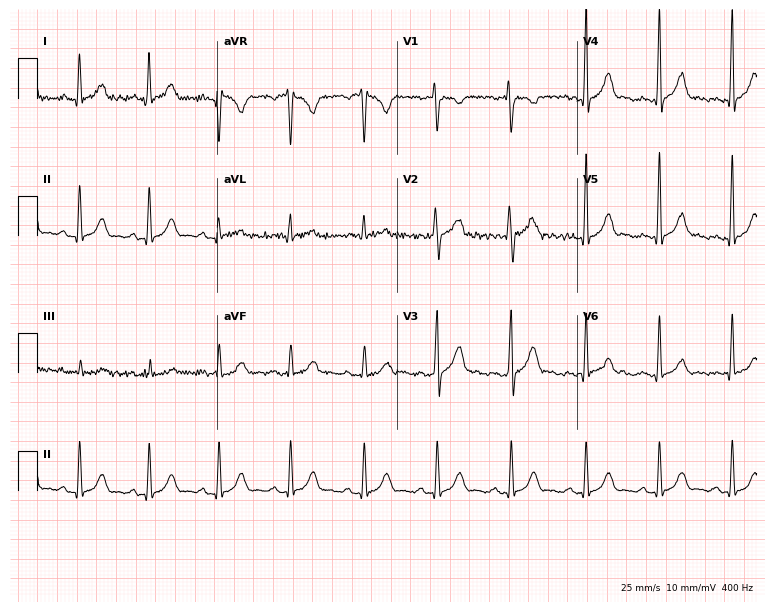
12-lead ECG (7.3-second recording at 400 Hz) from a man, 34 years old. Labelled as a normal ECG.